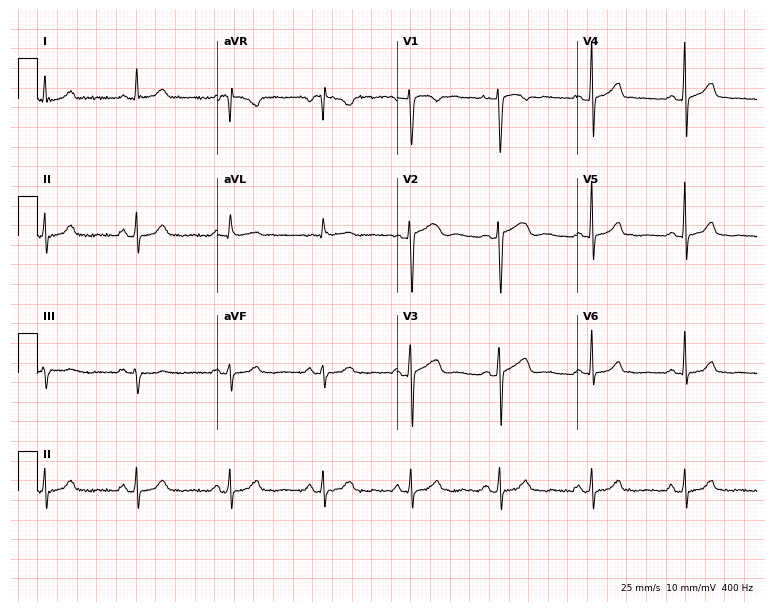
12-lead ECG (7.3-second recording at 400 Hz) from a 46-year-old woman. Labelled as a normal ECG.